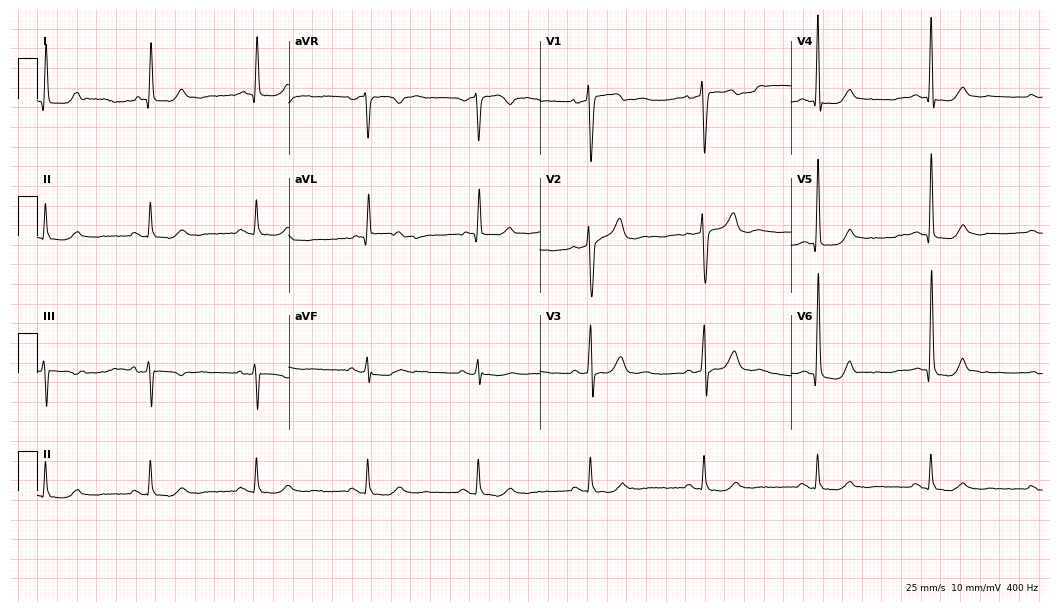
12-lead ECG from a 57-year-old male. No first-degree AV block, right bundle branch block, left bundle branch block, sinus bradycardia, atrial fibrillation or sinus tachycardia recorded for this tracing.